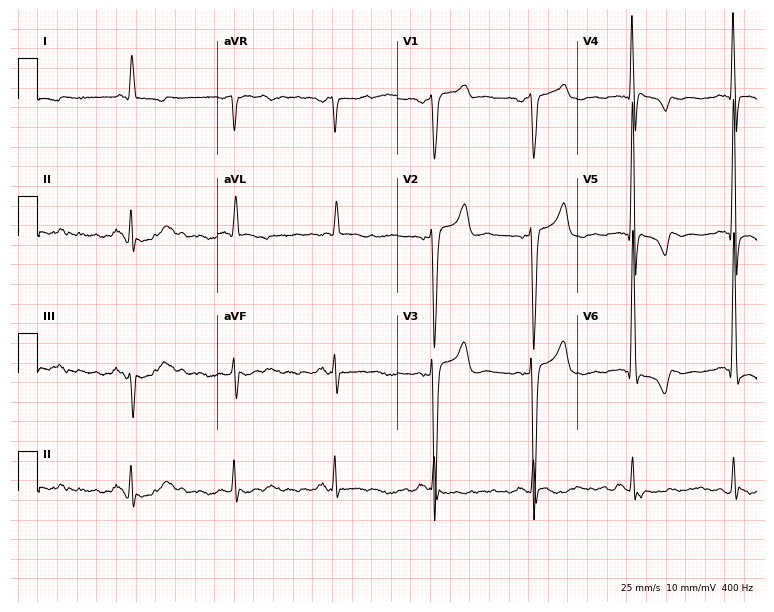
12-lead ECG from an 81-year-old man. No first-degree AV block, right bundle branch block, left bundle branch block, sinus bradycardia, atrial fibrillation or sinus tachycardia recorded for this tracing. Other findings, if any, are not listed.